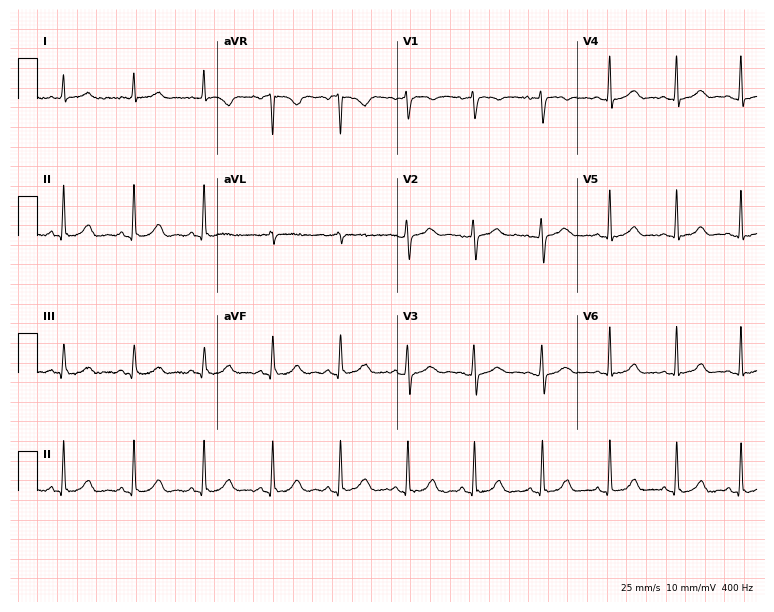
Resting 12-lead electrocardiogram. Patient: a 52-year-old female. Read as a normal ECG.